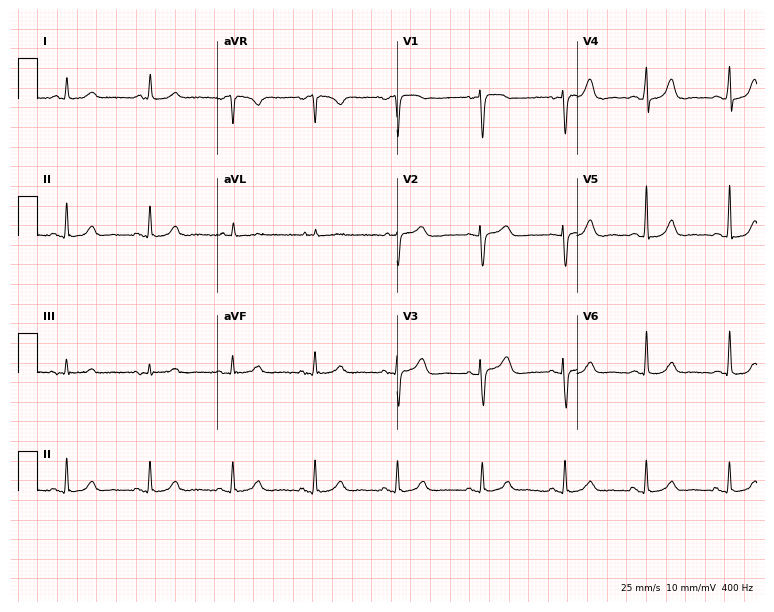
12-lead ECG (7.3-second recording at 400 Hz) from a woman, 67 years old. Labelled as a normal ECG.